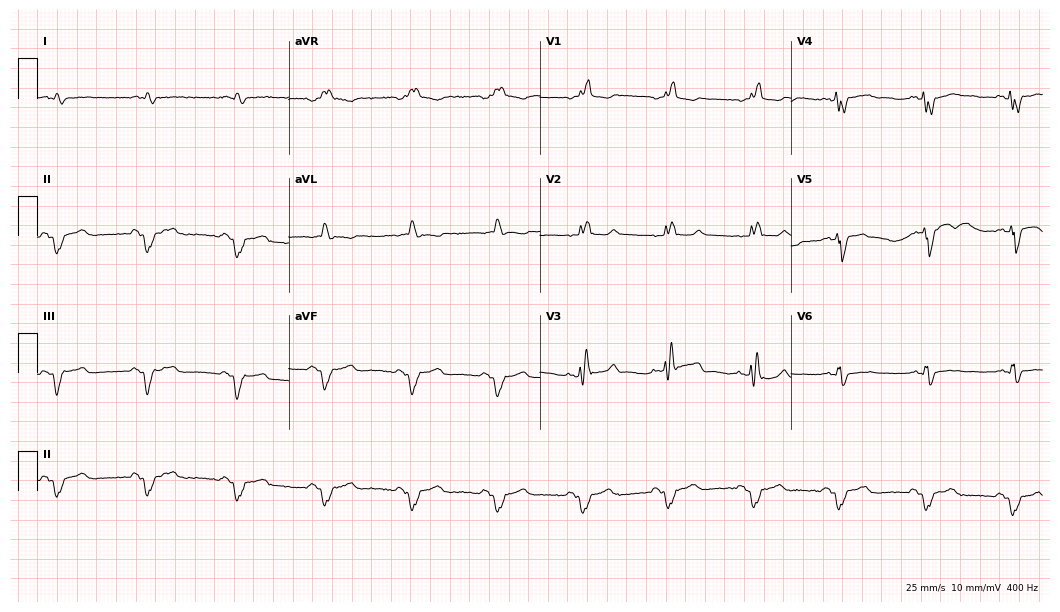
Standard 12-lead ECG recorded from a male patient, 63 years old. The tracing shows right bundle branch block, left bundle branch block.